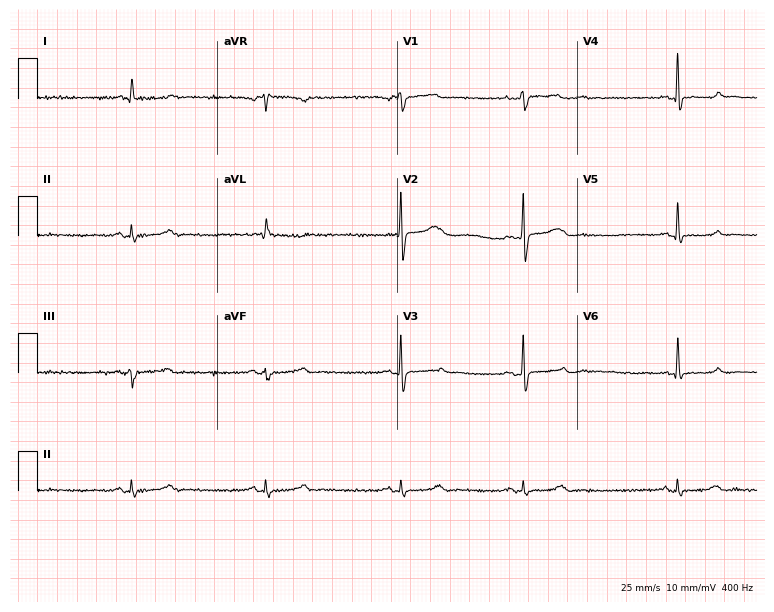
12-lead ECG from a 61-year-old female patient (7.3-second recording at 400 Hz). Shows sinus bradycardia (a sinus rate of 50 beats per minute or less).